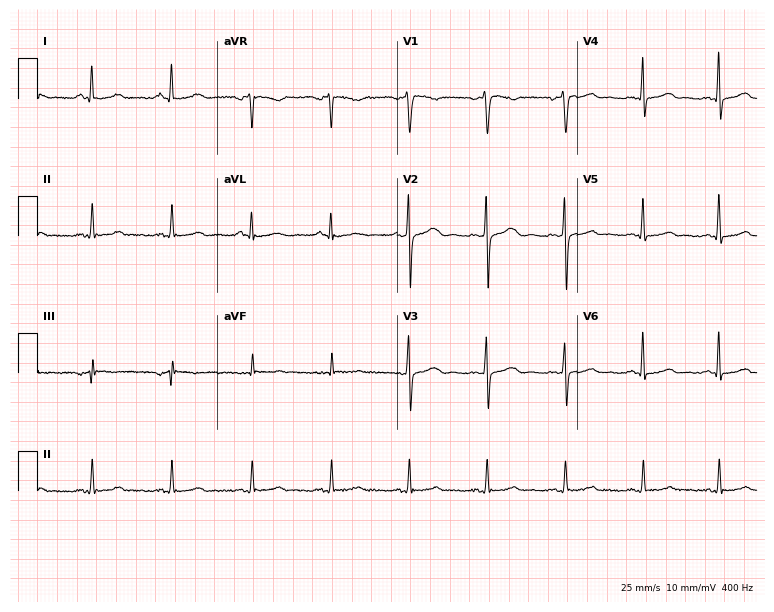
12-lead ECG from a female, 54 years old (7.3-second recording at 400 Hz). Recorded interpretation: within normal limits.